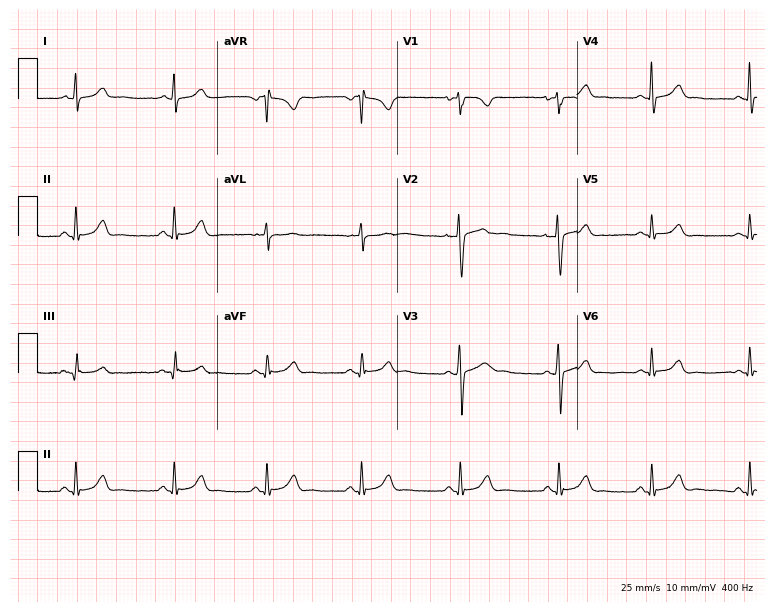
12-lead ECG from a 24-year-old female patient. Screened for six findings — first-degree AV block, right bundle branch block, left bundle branch block, sinus bradycardia, atrial fibrillation, sinus tachycardia — none is recorded. Only these six findings were labelled.